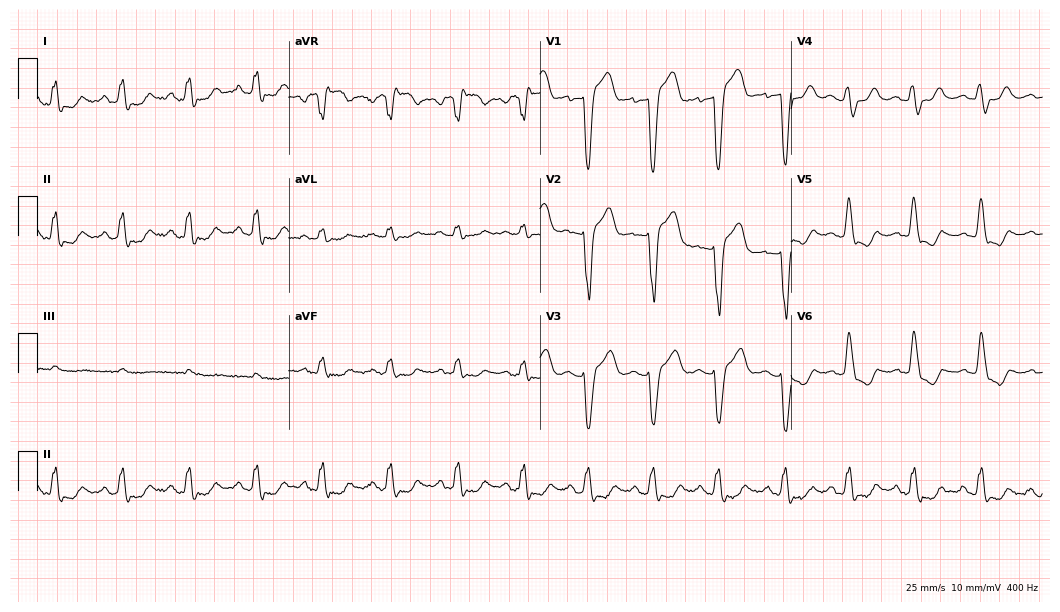
Resting 12-lead electrocardiogram. Patient: a woman, 63 years old. None of these six findings is recorded: first-degree AV block, right bundle branch block (RBBB), left bundle branch block (LBBB), sinus bradycardia, atrial fibrillation (AF), sinus tachycardia.